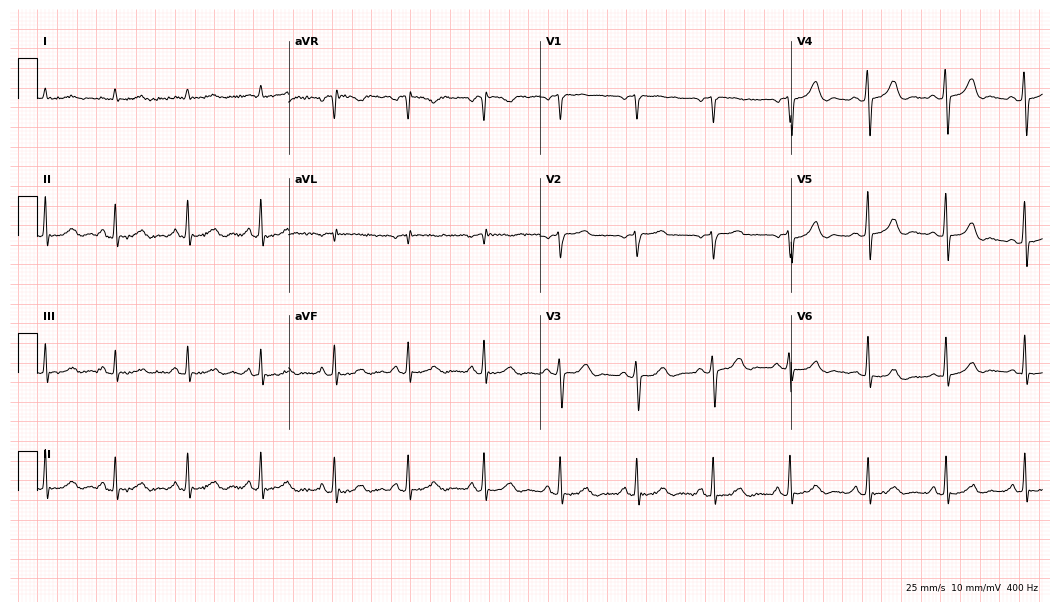
Standard 12-lead ECG recorded from a man, 74 years old (10.2-second recording at 400 Hz). Read as a normal ECG.